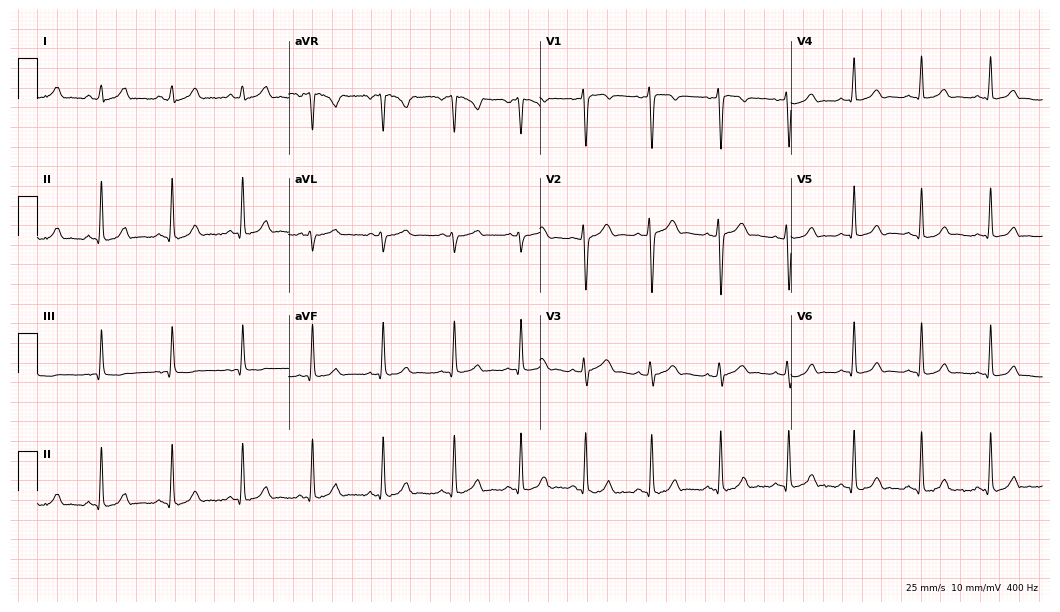
ECG — a 22-year-old woman. Screened for six findings — first-degree AV block, right bundle branch block (RBBB), left bundle branch block (LBBB), sinus bradycardia, atrial fibrillation (AF), sinus tachycardia — none is recorded. Only these six findings were labelled.